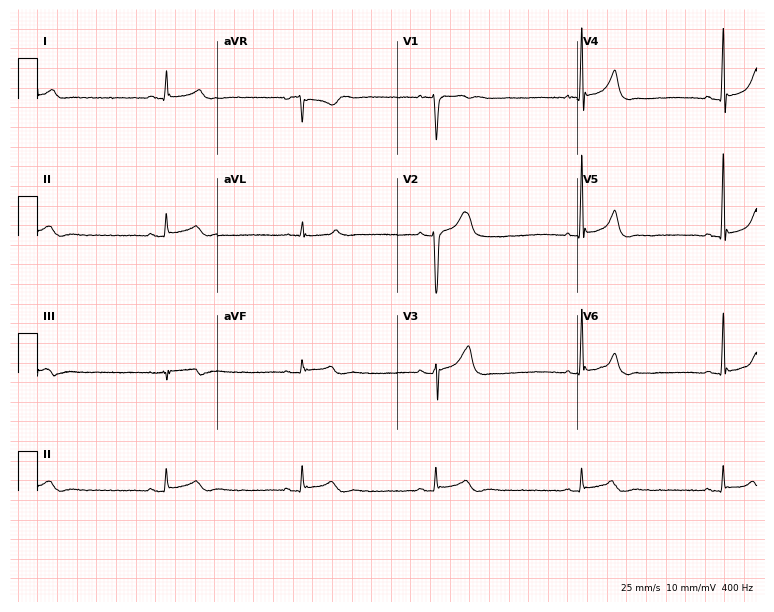
Electrocardiogram (7.3-second recording at 400 Hz), a male, 64 years old. Interpretation includes sinus bradycardia (a sinus rate of 50 beats per minute or less).